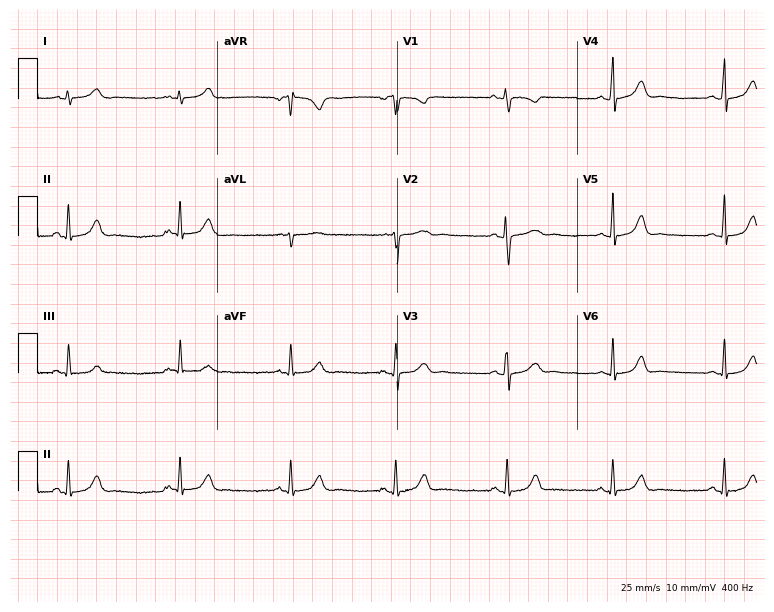
ECG — a female, 18 years old. Screened for six findings — first-degree AV block, right bundle branch block, left bundle branch block, sinus bradycardia, atrial fibrillation, sinus tachycardia — none is recorded.